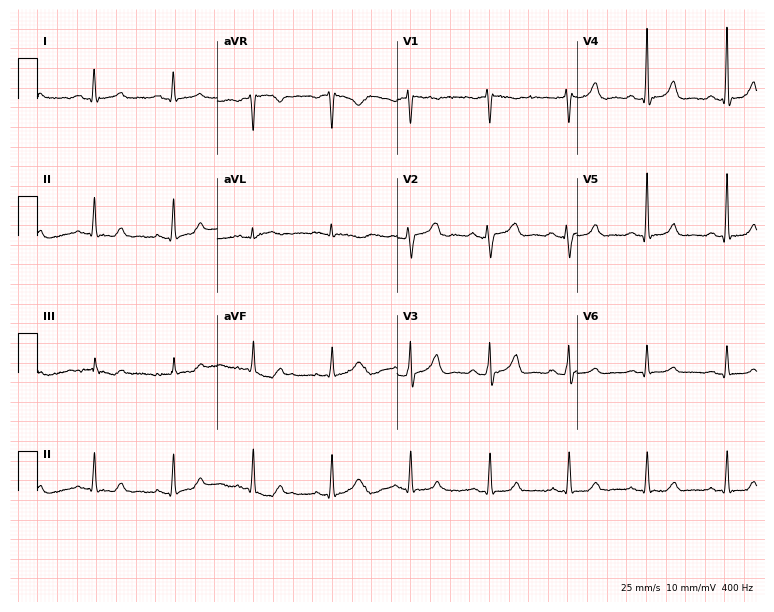
12-lead ECG (7.3-second recording at 400 Hz) from a female, 59 years old. Screened for six findings — first-degree AV block, right bundle branch block, left bundle branch block, sinus bradycardia, atrial fibrillation, sinus tachycardia — none is recorded.